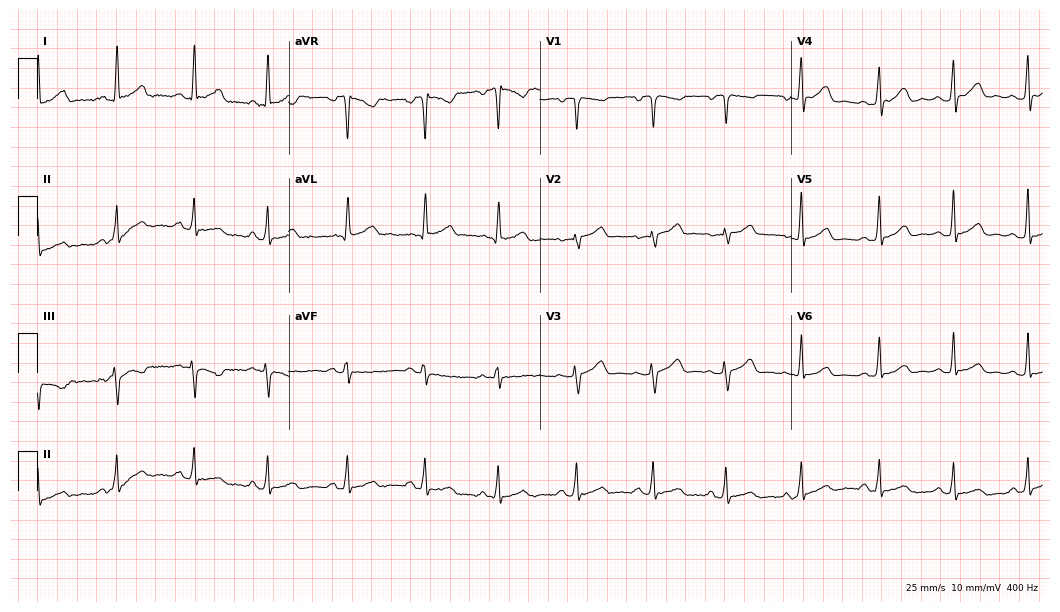
Electrocardiogram (10.2-second recording at 400 Hz), a 46-year-old female patient. Overall reading on record: normal ECG.